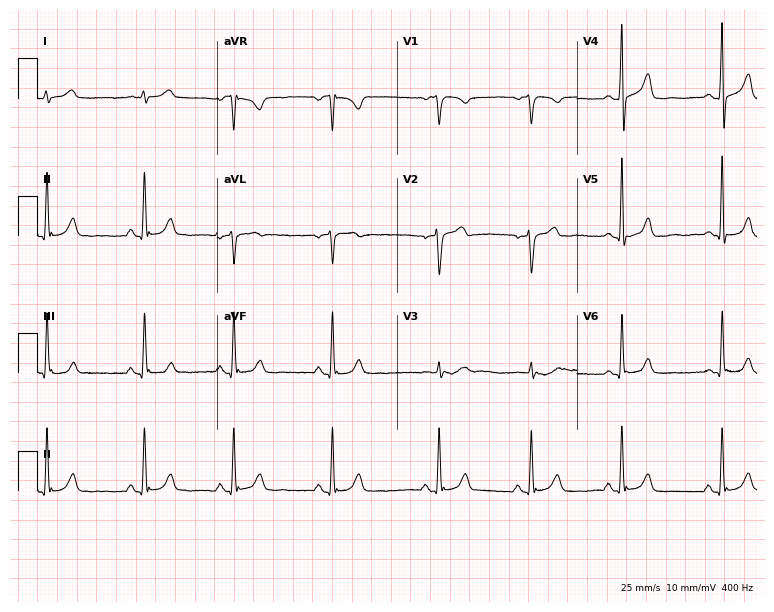
12-lead ECG from a 46-year-old man. Recorded interpretation: within normal limits.